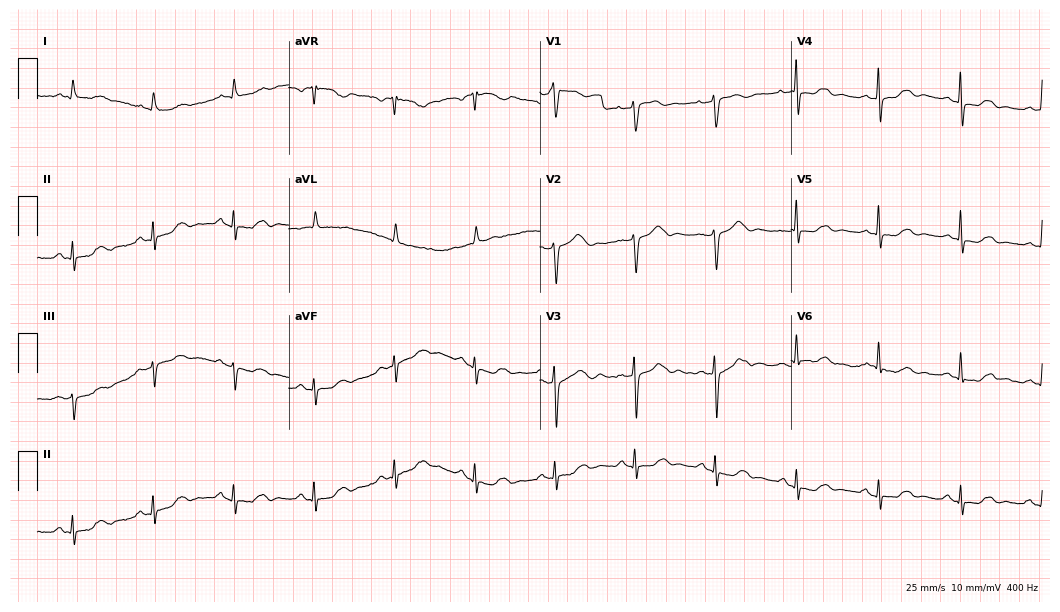
12-lead ECG from a female, 78 years old. Labelled as a normal ECG.